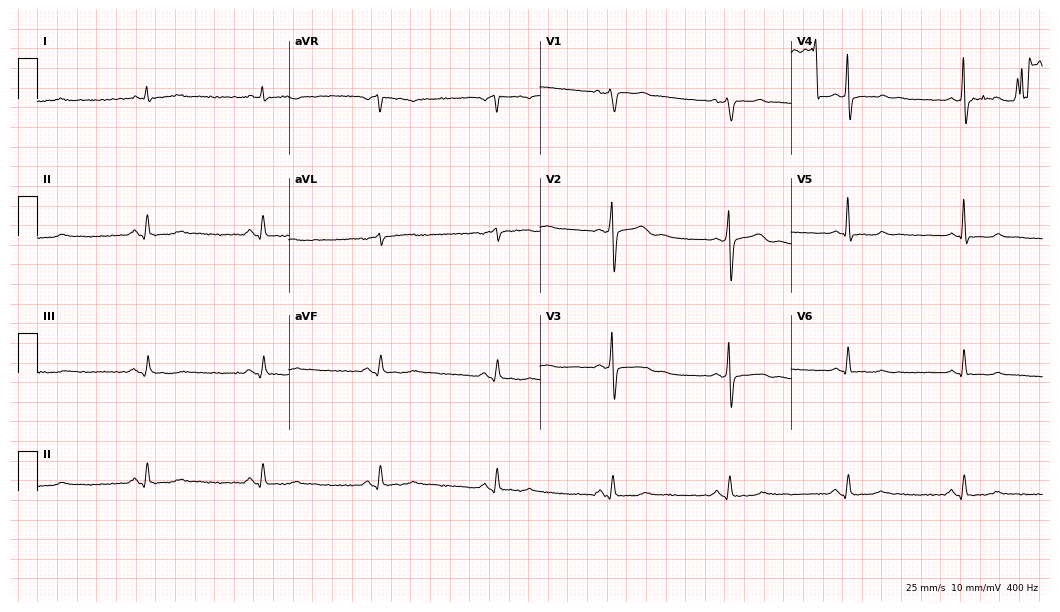
ECG (10.2-second recording at 400 Hz) — a 56-year-old male patient. Findings include sinus bradycardia (a sinus rate of 50 beats per minute or less).